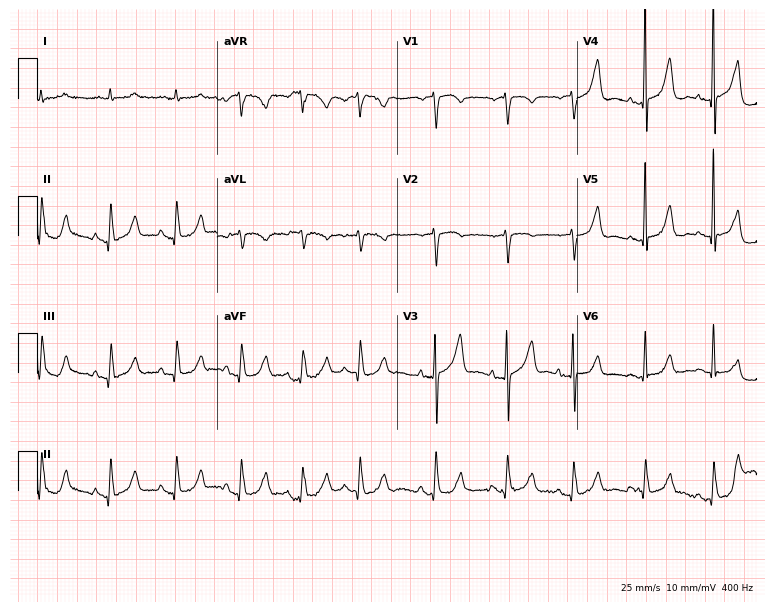
Electrocardiogram (7.3-second recording at 400 Hz), a woman, 83 years old. Overall reading on record: normal ECG.